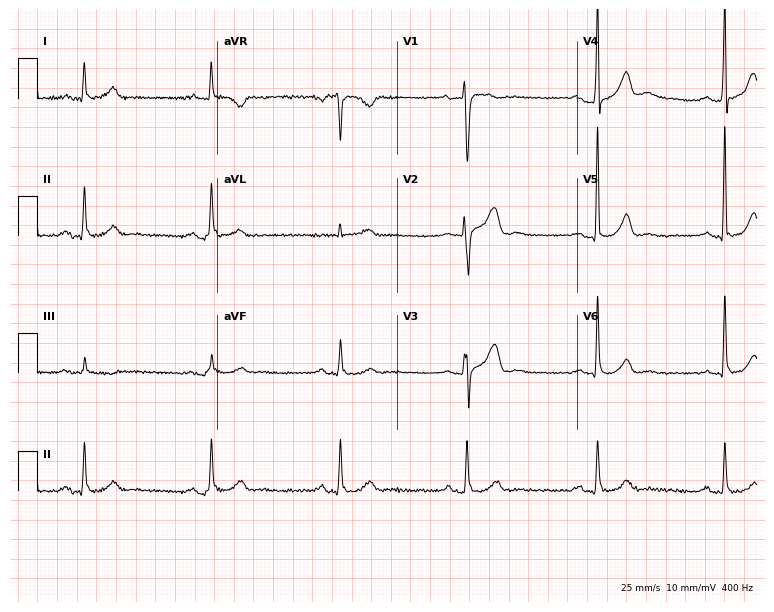
Electrocardiogram (7.3-second recording at 400 Hz), a 65-year-old man. Of the six screened findings (first-degree AV block, right bundle branch block, left bundle branch block, sinus bradycardia, atrial fibrillation, sinus tachycardia), none is recorded. Other findings, if any, are not listed.